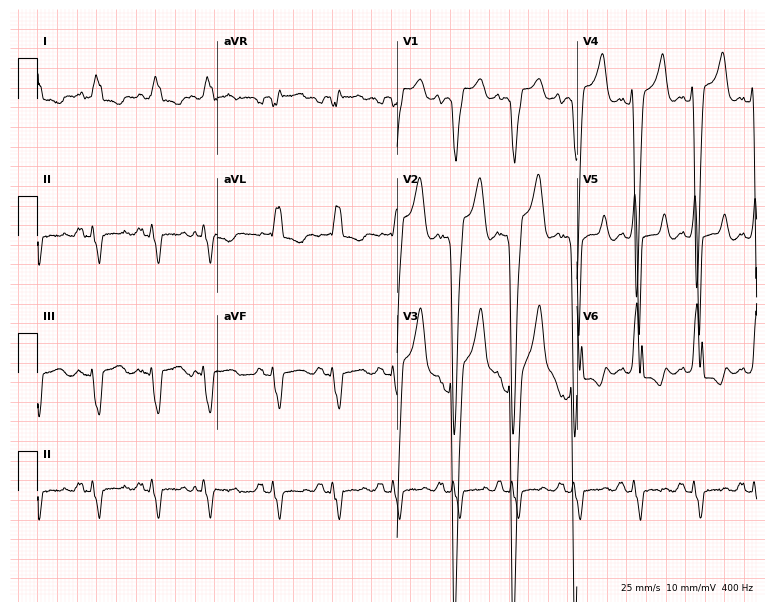
Standard 12-lead ECG recorded from a male, 79 years old (7.3-second recording at 400 Hz). The tracing shows left bundle branch block (LBBB).